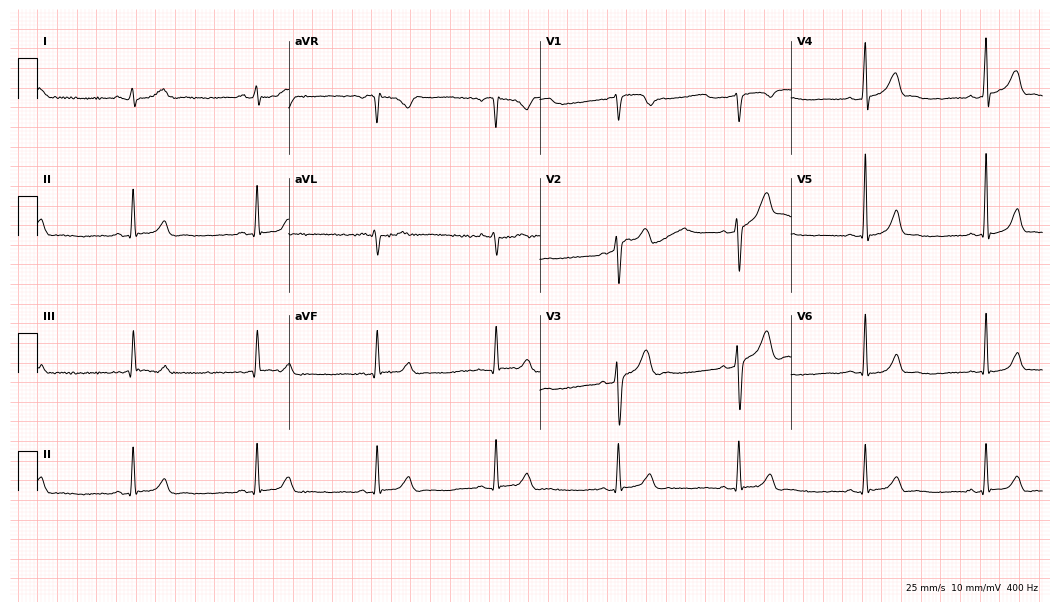
12-lead ECG from a male, 33 years old. Shows sinus bradycardia (a sinus rate of 50 beats per minute or less).